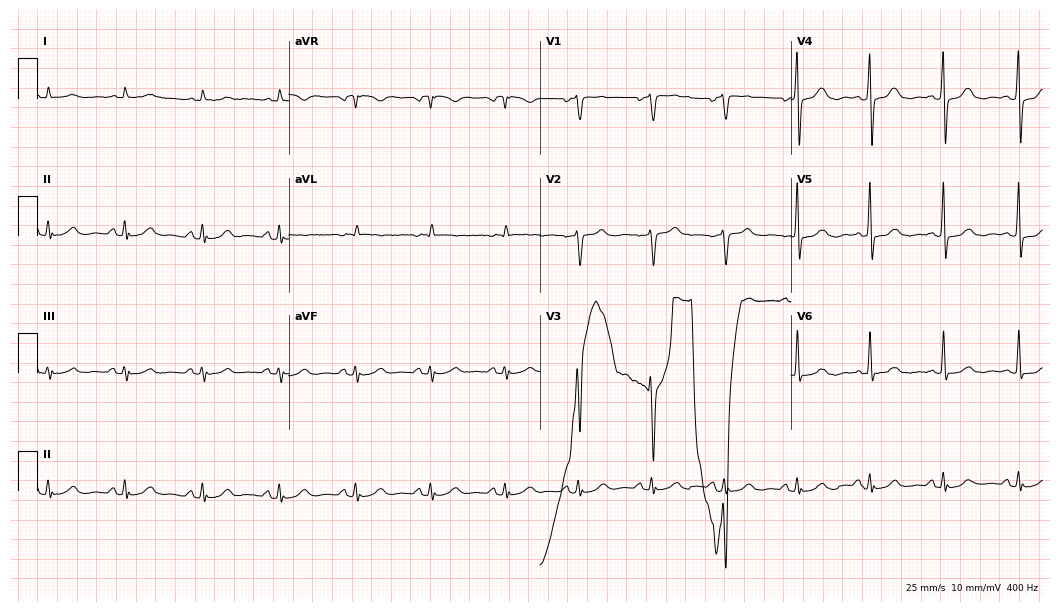
12-lead ECG from a 71-year-old man. Recorded interpretation: within normal limits.